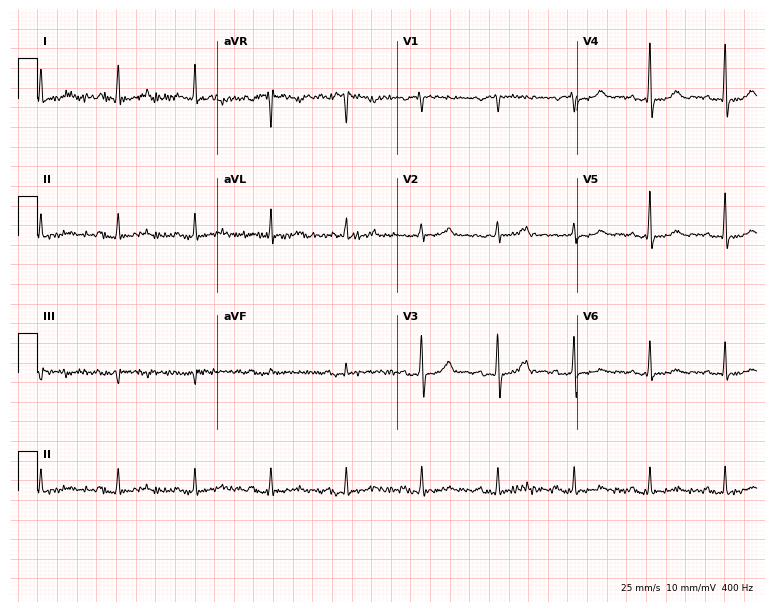
12-lead ECG from a 57-year-old female. Recorded interpretation: within normal limits.